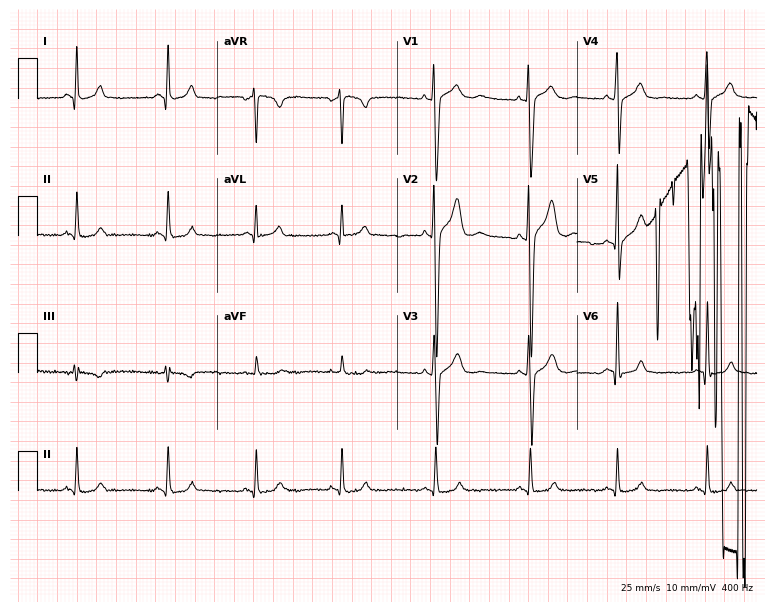
12-lead ECG from a man, 20 years old. Screened for six findings — first-degree AV block, right bundle branch block (RBBB), left bundle branch block (LBBB), sinus bradycardia, atrial fibrillation (AF), sinus tachycardia — none is recorded.